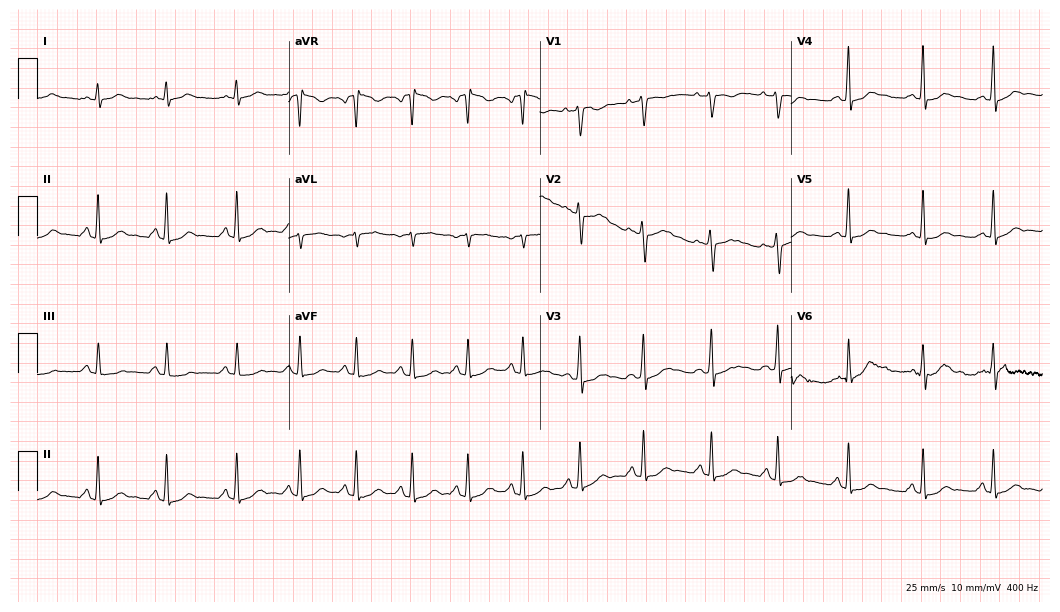
Standard 12-lead ECG recorded from a woman, 21 years old. Read as a normal ECG.